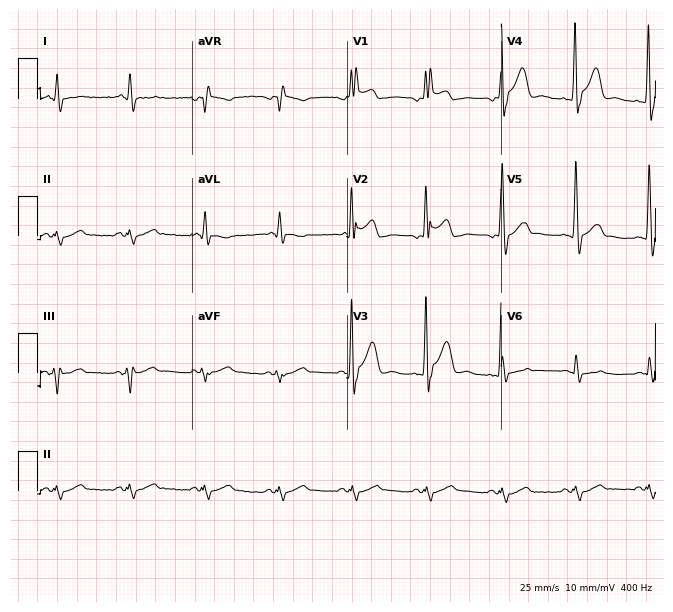
Electrocardiogram, a 23-year-old male. Of the six screened findings (first-degree AV block, right bundle branch block, left bundle branch block, sinus bradycardia, atrial fibrillation, sinus tachycardia), none is recorded. Findings outside these six are not listed.